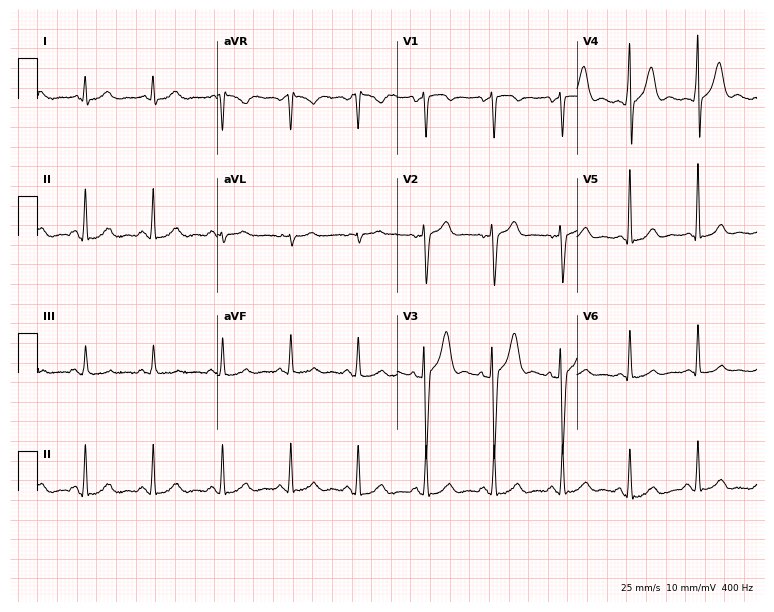
ECG (7.3-second recording at 400 Hz) — a 38-year-old male. Screened for six findings — first-degree AV block, right bundle branch block (RBBB), left bundle branch block (LBBB), sinus bradycardia, atrial fibrillation (AF), sinus tachycardia — none is recorded.